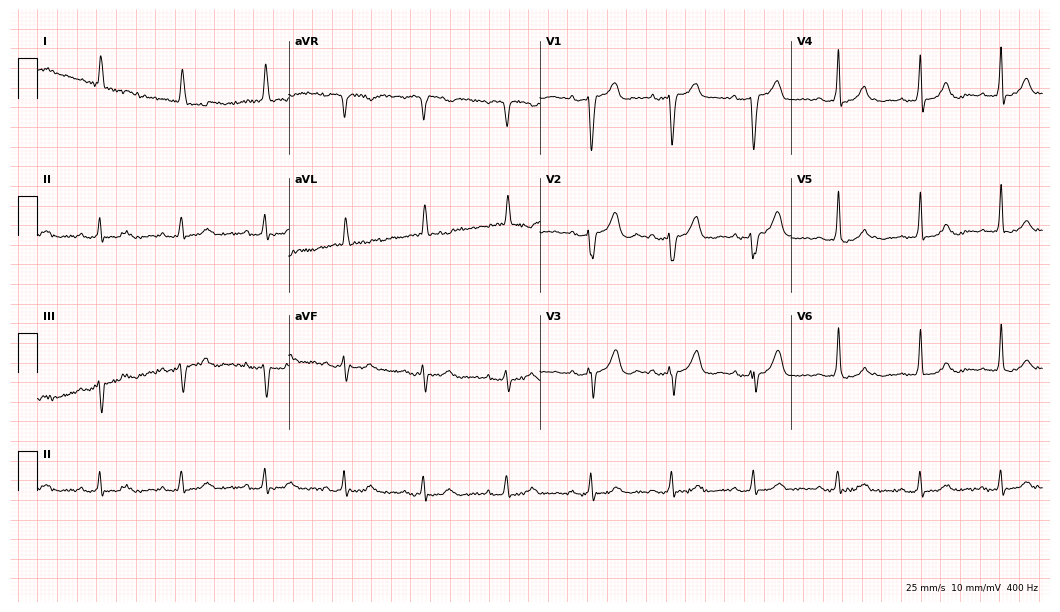
Electrocardiogram, an 80-year-old female. Of the six screened findings (first-degree AV block, right bundle branch block (RBBB), left bundle branch block (LBBB), sinus bradycardia, atrial fibrillation (AF), sinus tachycardia), none is recorded.